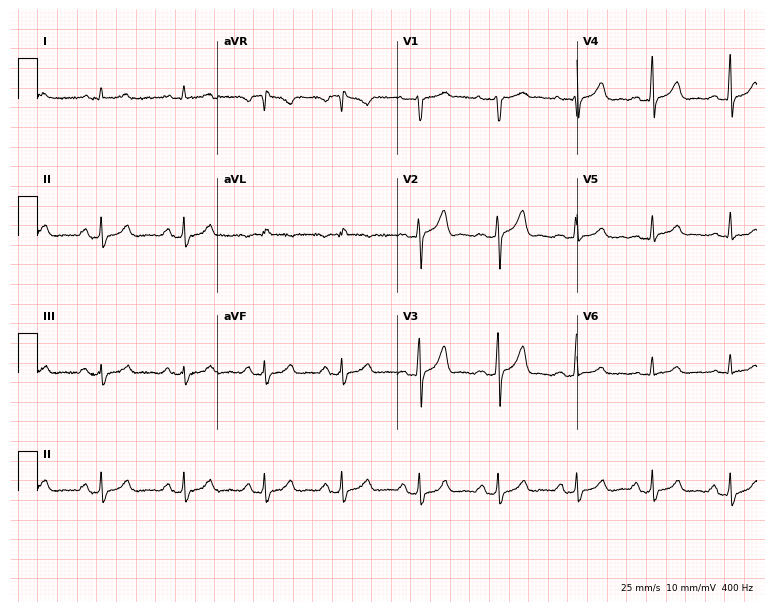
Resting 12-lead electrocardiogram (7.3-second recording at 400 Hz). Patient: a female, 34 years old. Read as a normal ECG.